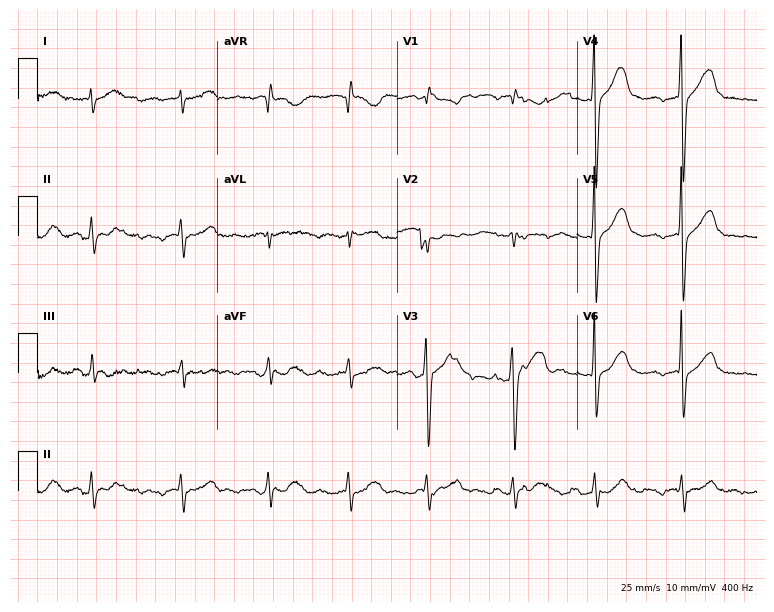
Standard 12-lead ECG recorded from a 72-year-old male. None of these six findings is recorded: first-degree AV block, right bundle branch block, left bundle branch block, sinus bradycardia, atrial fibrillation, sinus tachycardia. Only these six findings were labelled.